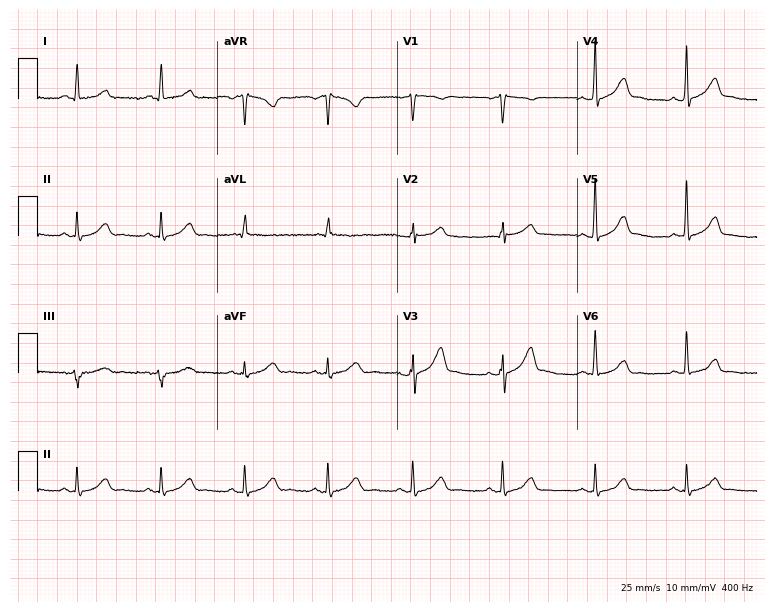
Standard 12-lead ECG recorded from a 63-year-old man. Read as a normal ECG.